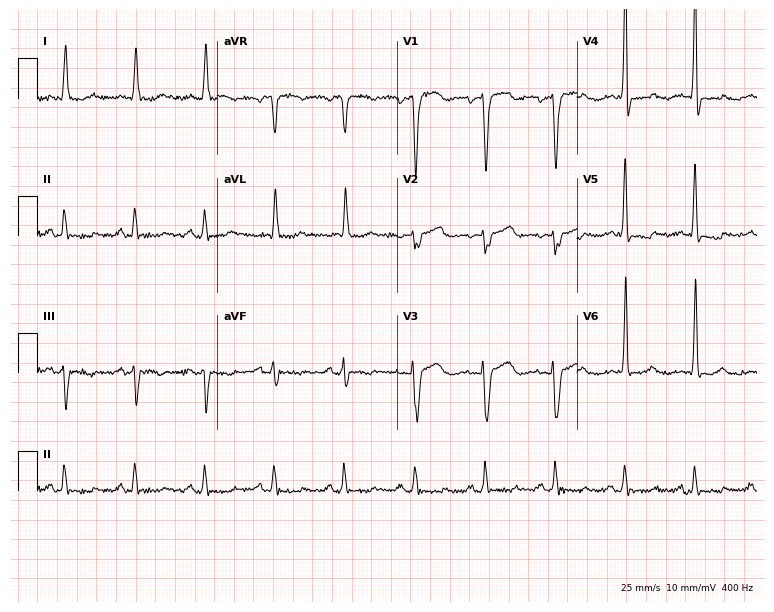
12-lead ECG from a 77-year-old man. No first-degree AV block, right bundle branch block, left bundle branch block, sinus bradycardia, atrial fibrillation or sinus tachycardia recorded for this tracing. Other findings, if any, are not listed.